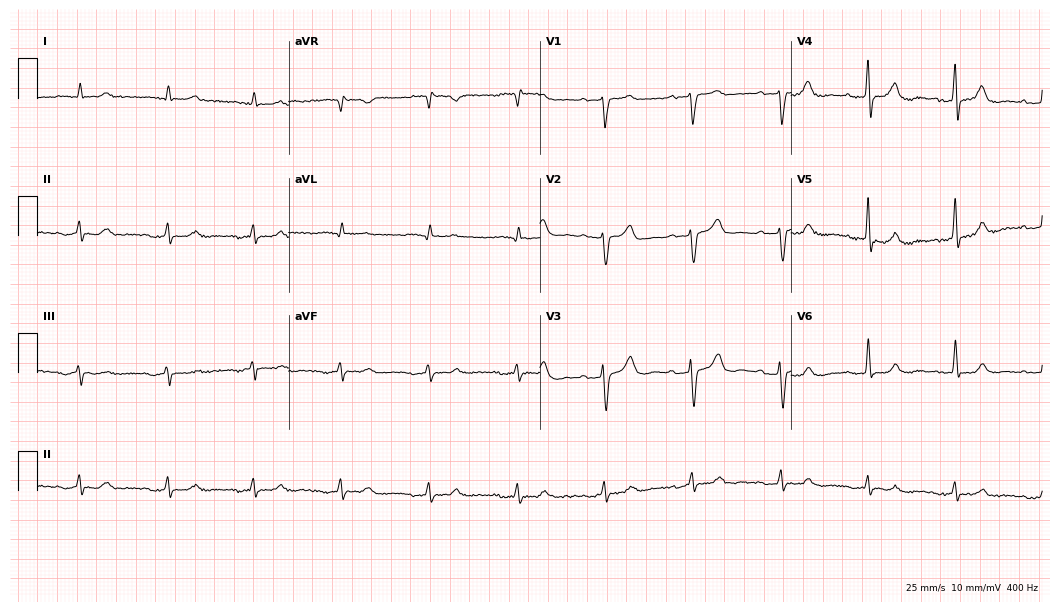
12-lead ECG (10.2-second recording at 400 Hz) from an 82-year-old male patient. Screened for six findings — first-degree AV block, right bundle branch block, left bundle branch block, sinus bradycardia, atrial fibrillation, sinus tachycardia — none is recorded. Other findings, if any, are not listed.